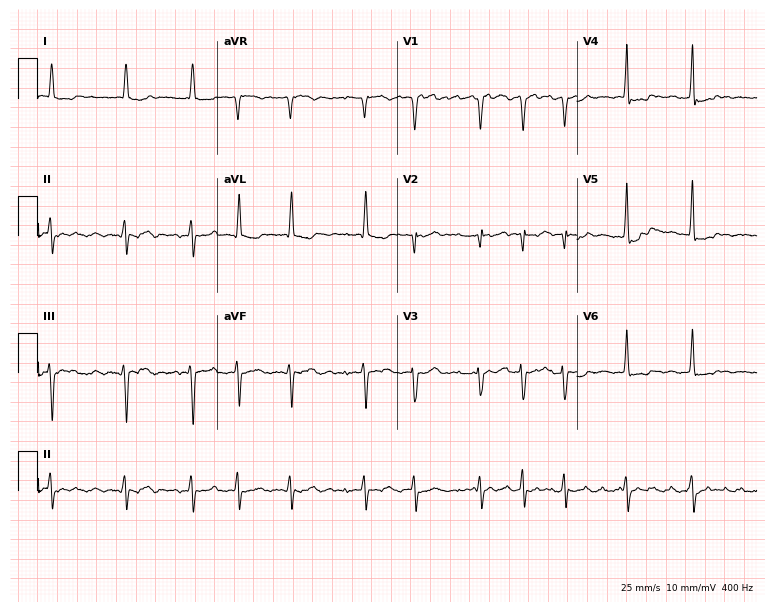
Electrocardiogram, an 81-year-old female patient. Interpretation includes atrial fibrillation.